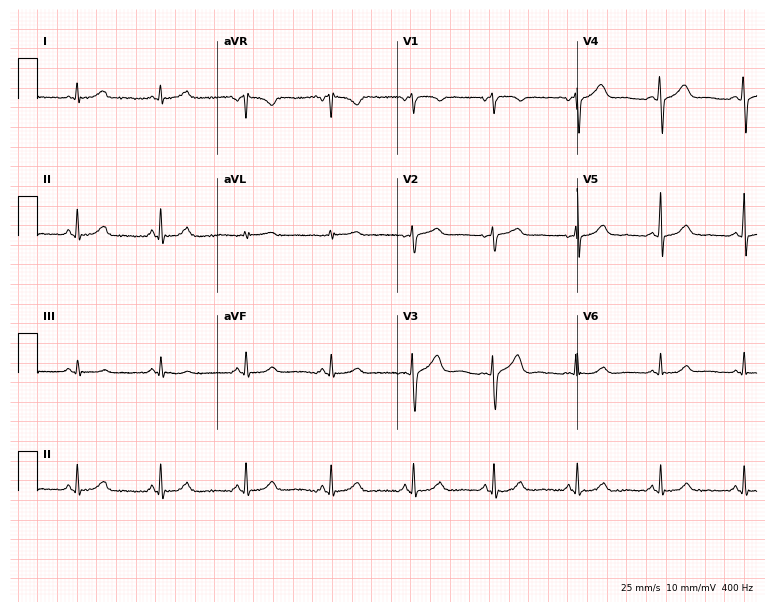
ECG — a 42-year-old female patient. Screened for six findings — first-degree AV block, right bundle branch block, left bundle branch block, sinus bradycardia, atrial fibrillation, sinus tachycardia — none is recorded. Other findings, if any, are not listed.